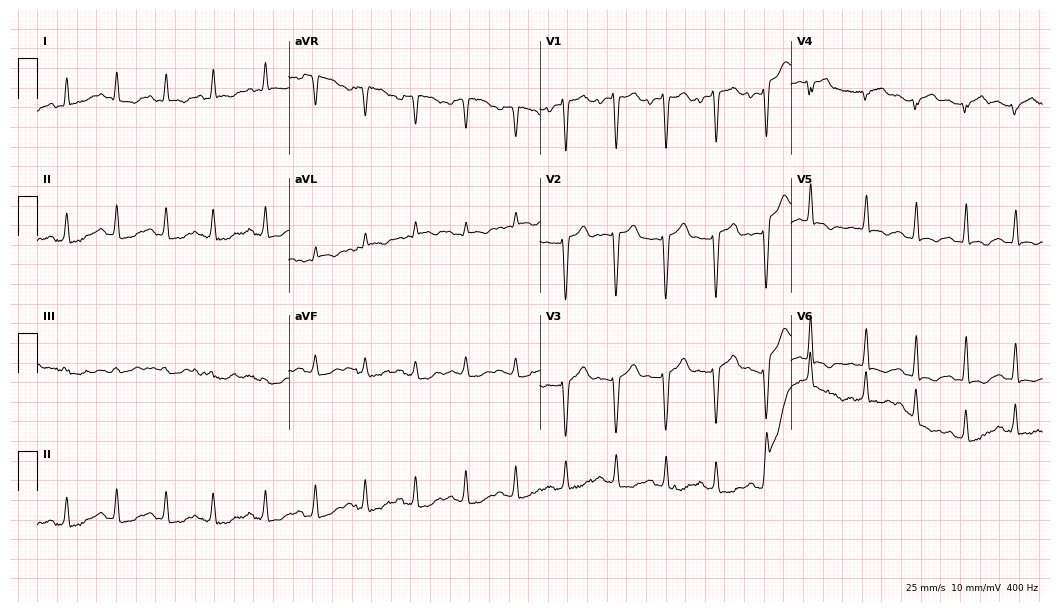
Electrocardiogram (10.2-second recording at 400 Hz), an 85-year-old woman. Interpretation includes sinus tachycardia (a sinus rate of 100 beats per minute or more).